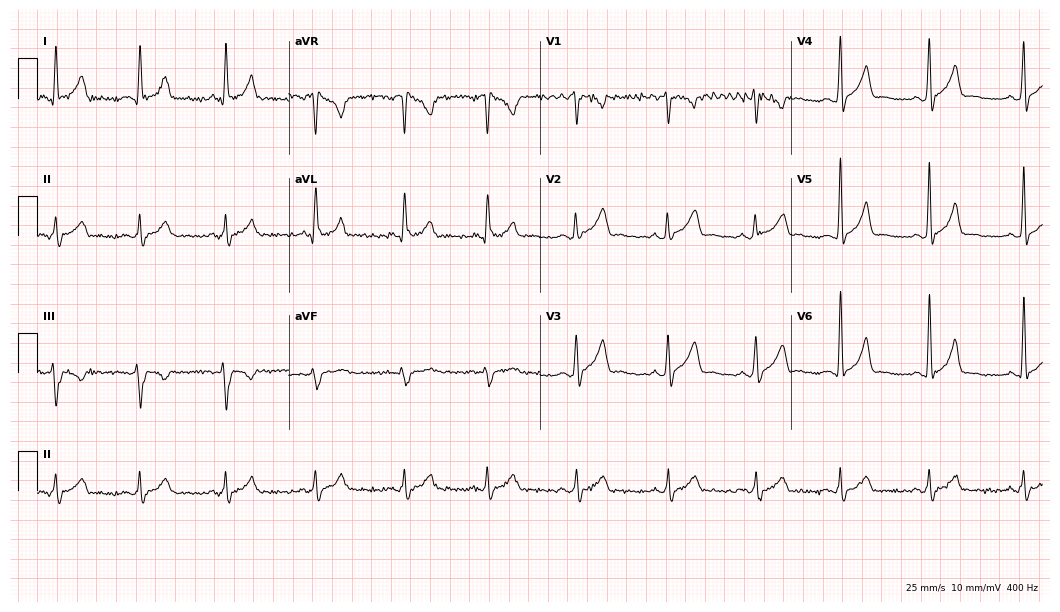
Electrocardiogram, a 31-year-old woman. Of the six screened findings (first-degree AV block, right bundle branch block (RBBB), left bundle branch block (LBBB), sinus bradycardia, atrial fibrillation (AF), sinus tachycardia), none is recorded. Only these six findings were labelled.